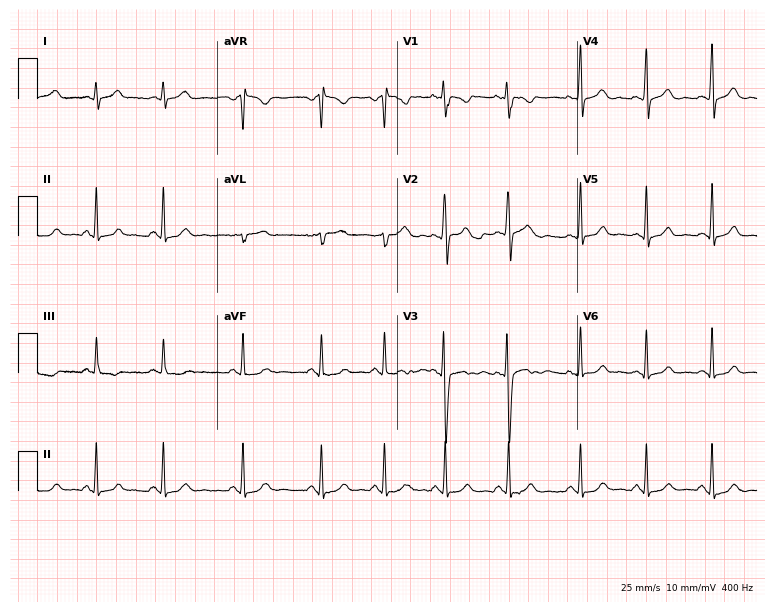
Standard 12-lead ECG recorded from a female, 18 years old (7.3-second recording at 400 Hz). None of these six findings is recorded: first-degree AV block, right bundle branch block, left bundle branch block, sinus bradycardia, atrial fibrillation, sinus tachycardia.